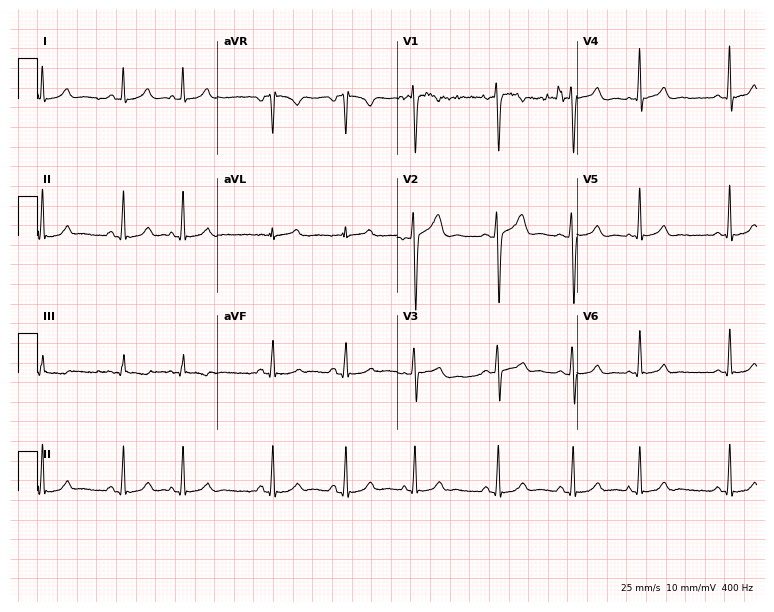
Electrocardiogram (7.3-second recording at 400 Hz), a 17-year-old female. Overall reading on record: normal ECG.